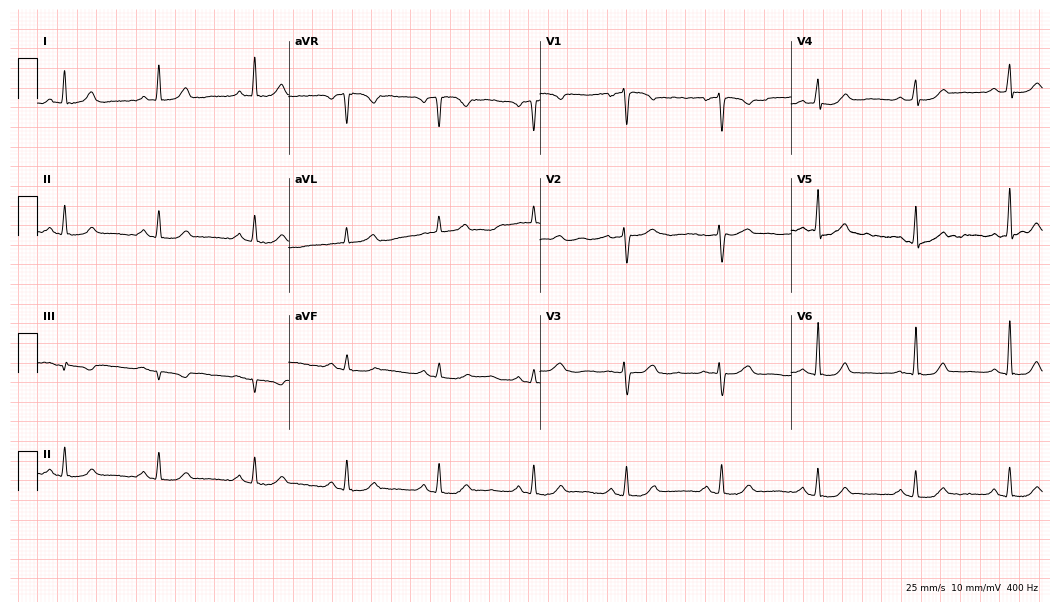
12-lead ECG from a female patient, 63 years old (10.2-second recording at 400 Hz). No first-degree AV block, right bundle branch block (RBBB), left bundle branch block (LBBB), sinus bradycardia, atrial fibrillation (AF) or sinus tachycardia recorded for this tracing.